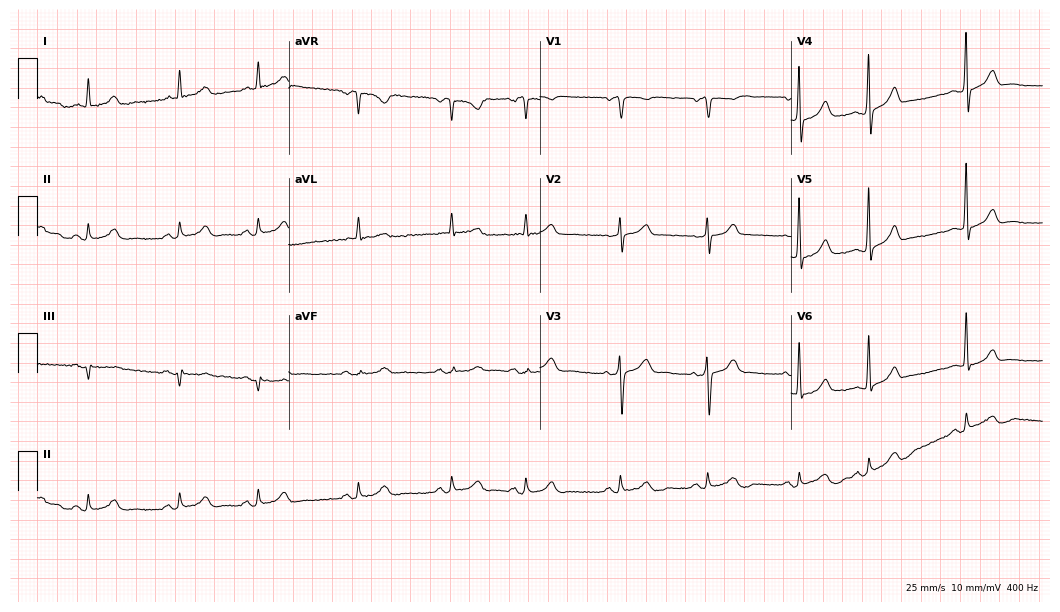
ECG — a male, 79 years old. Labelled as a normal ECG.